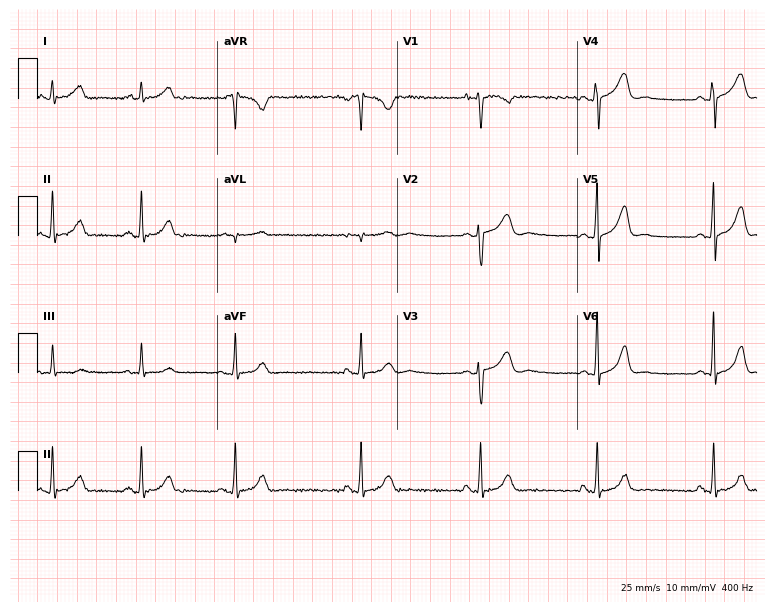
ECG (7.3-second recording at 400 Hz) — a female patient, 31 years old. Labelled as a normal ECG.